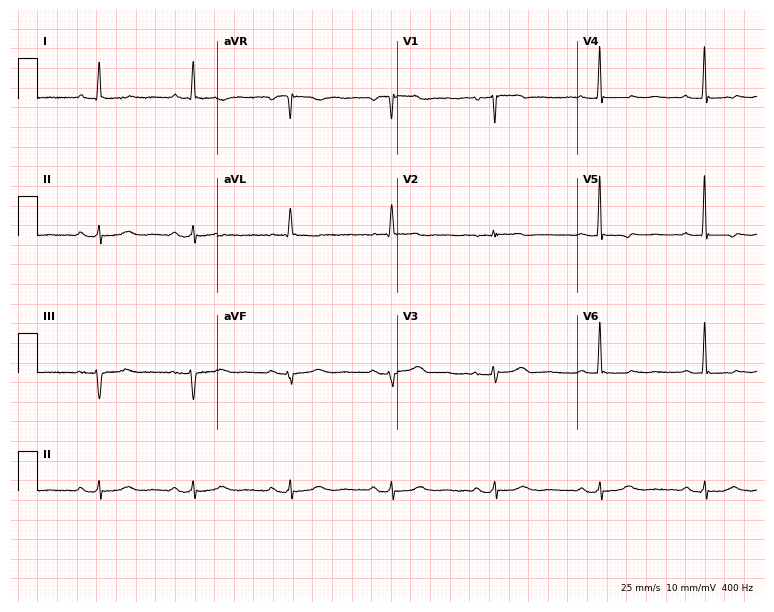
Electrocardiogram, a female, 83 years old. Of the six screened findings (first-degree AV block, right bundle branch block (RBBB), left bundle branch block (LBBB), sinus bradycardia, atrial fibrillation (AF), sinus tachycardia), none is recorded.